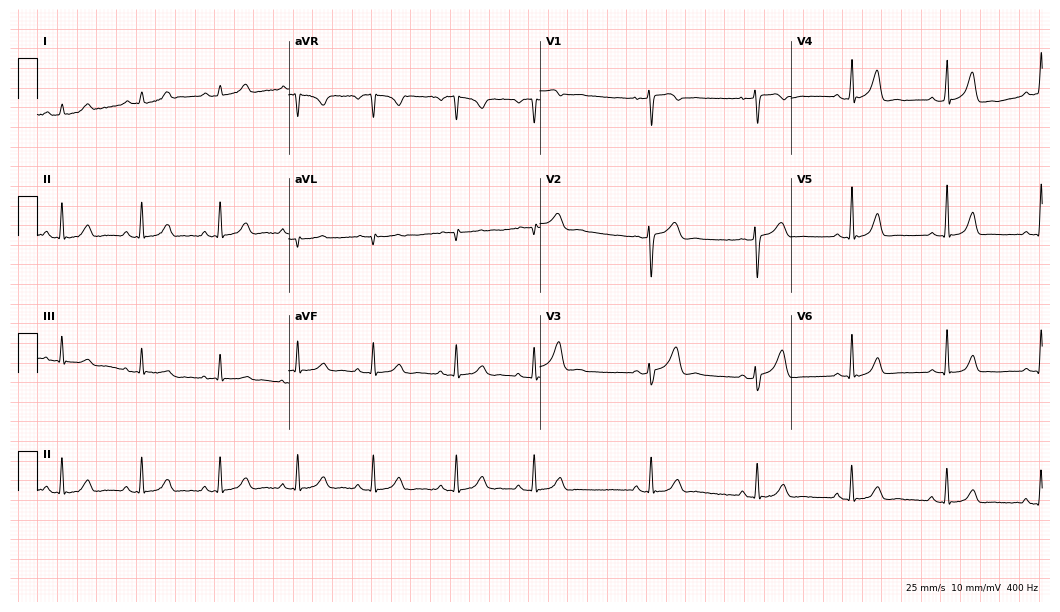
ECG (10.2-second recording at 400 Hz) — a 23-year-old woman. Screened for six findings — first-degree AV block, right bundle branch block (RBBB), left bundle branch block (LBBB), sinus bradycardia, atrial fibrillation (AF), sinus tachycardia — none is recorded.